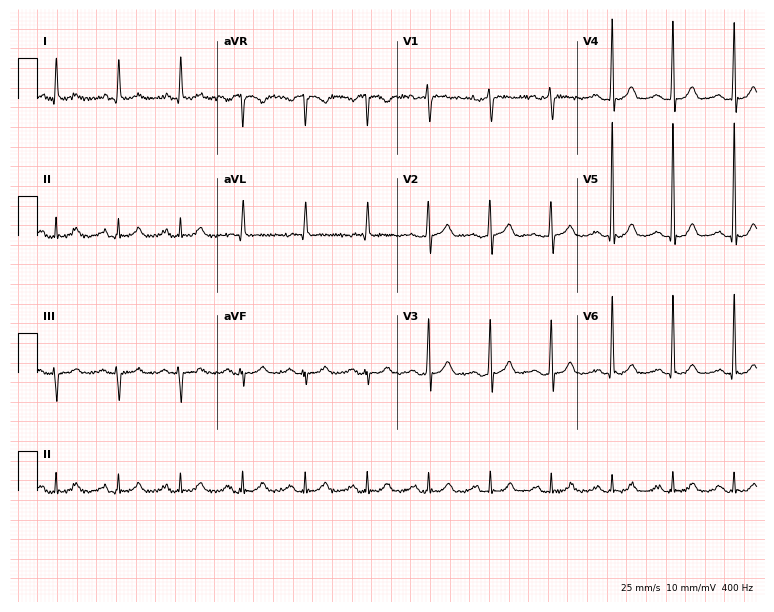
12-lead ECG from a male patient, 63 years old. Labelled as a normal ECG.